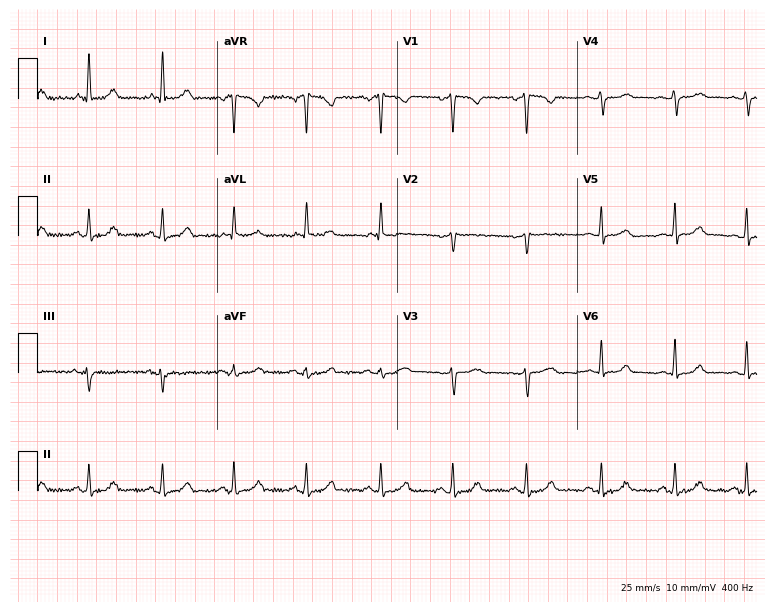
Electrocardiogram (7.3-second recording at 400 Hz), a woman, 44 years old. Overall reading on record: normal ECG.